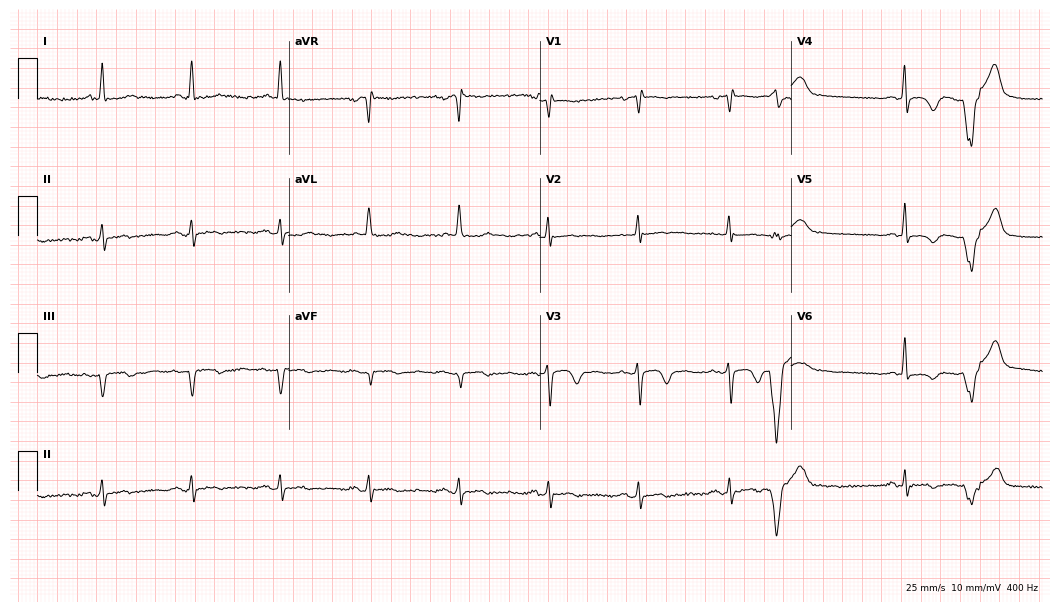
Standard 12-lead ECG recorded from a 76-year-old female patient (10.2-second recording at 400 Hz). None of these six findings is recorded: first-degree AV block, right bundle branch block, left bundle branch block, sinus bradycardia, atrial fibrillation, sinus tachycardia. Findings outside these six are not listed.